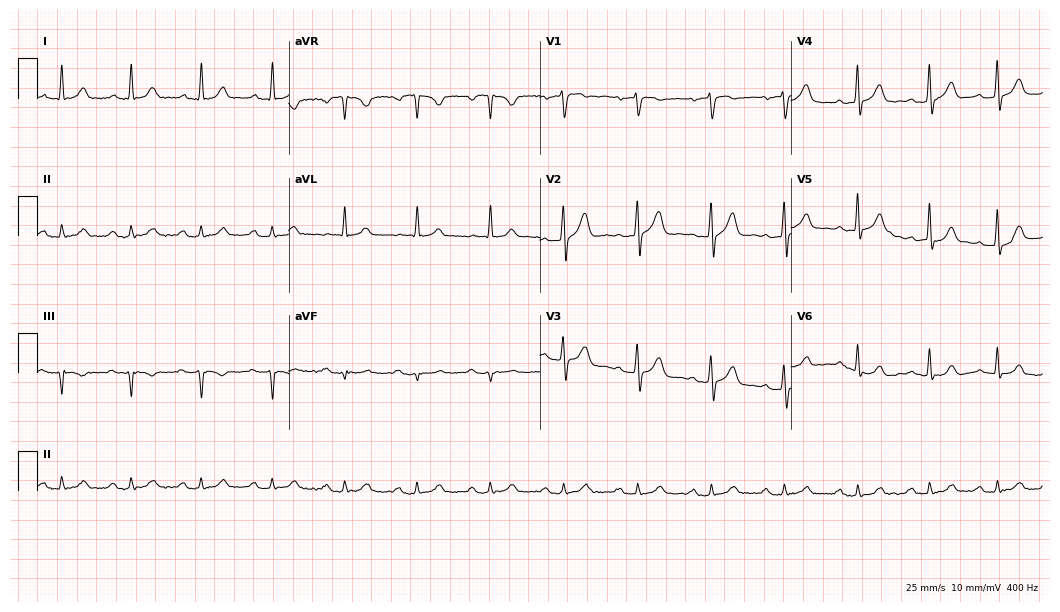
Electrocardiogram (10.2-second recording at 400 Hz), a 71-year-old man. Overall reading on record: normal ECG.